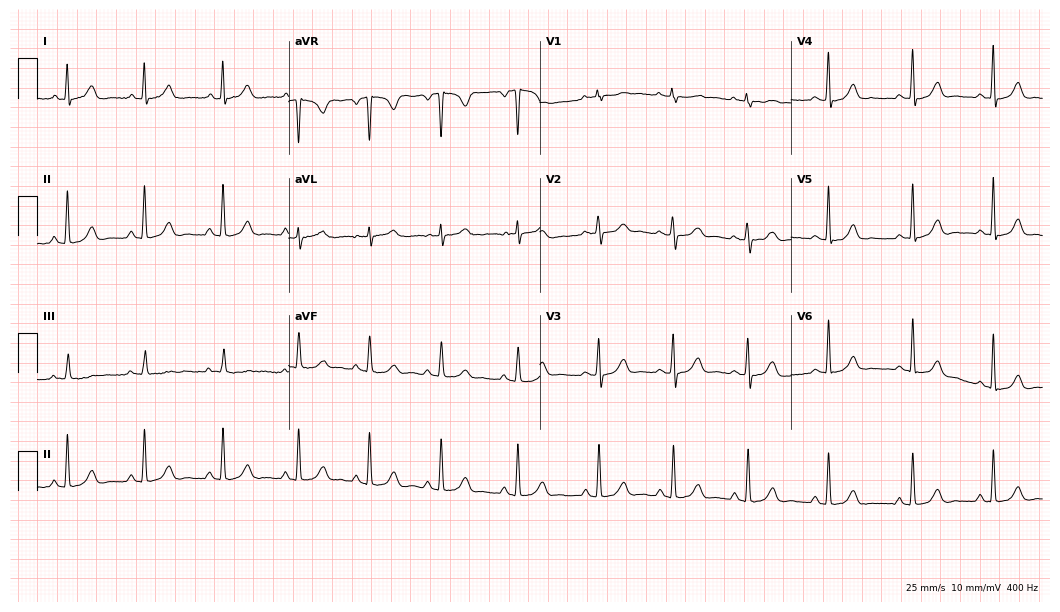
12-lead ECG from a 29-year-old woman. Recorded interpretation: within normal limits.